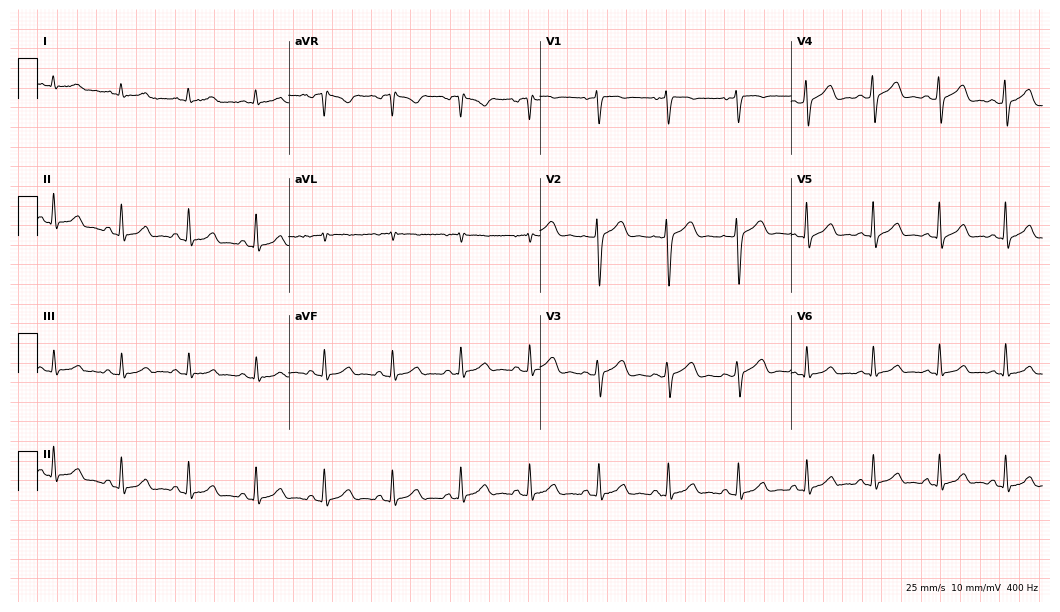
12-lead ECG (10.2-second recording at 400 Hz) from a 40-year-old male patient. Screened for six findings — first-degree AV block, right bundle branch block (RBBB), left bundle branch block (LBBB), sinus bradycardia, atrial fibrillation (AF), sinus tachycardia — none is recorded. Findings outside these six are not listed.